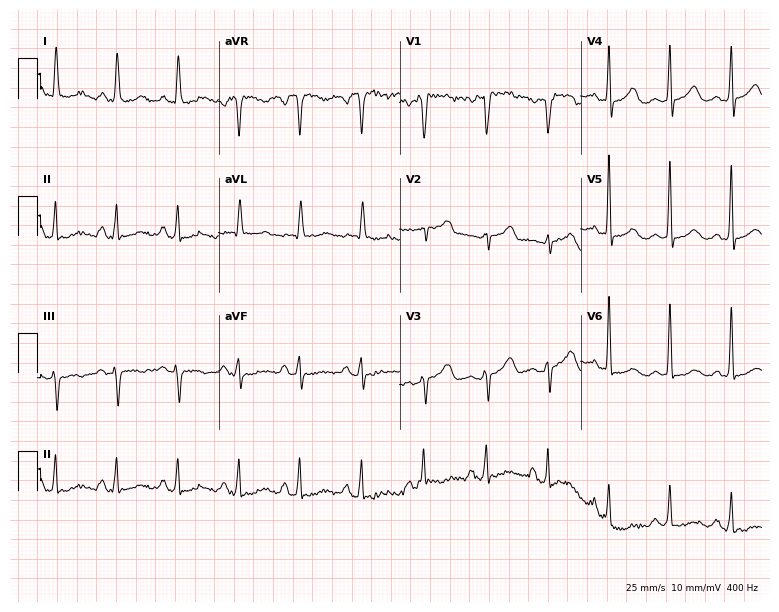
ECG — a female patient, 75 years old. Screened for six findings — first-degree AV block, right bundle branch block, left bundle branch block, sinus bradycardia, atrial fibrillation, sinus tachycardia — none is recorded.